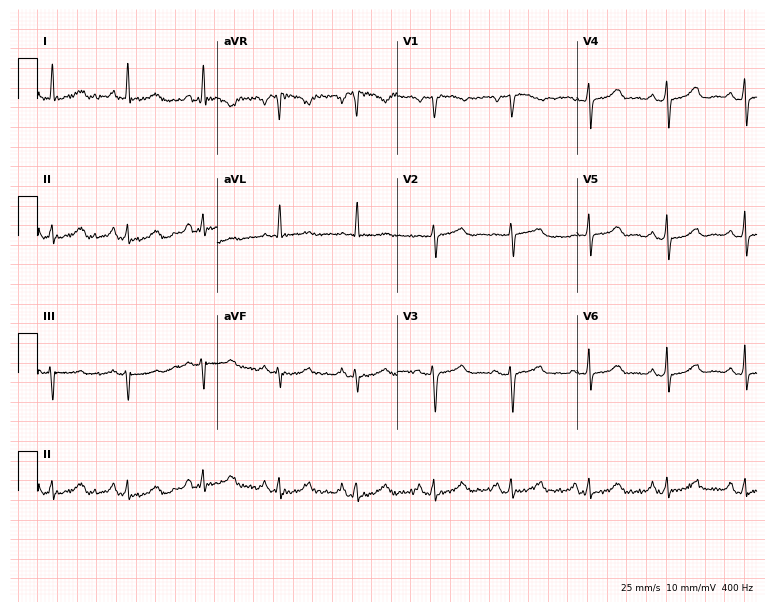
Standard 12-lead ECG recorded from a woman, 63 years old (7.3-second recording at 400 Hz). Read as a normal ECG.